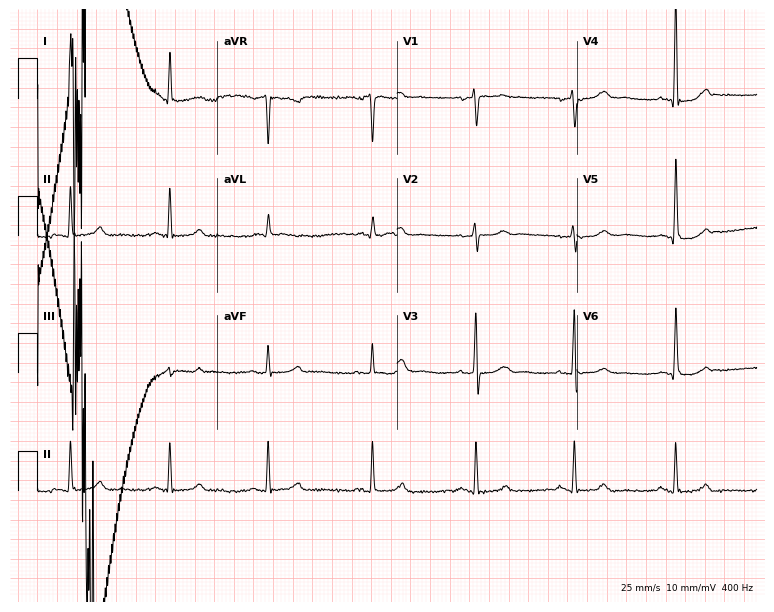
12-lead ECG from a 63-year-old male patient (7.3-second recording at 400 Hz). No first-degree AV block, right bundle branch block, left bundle branch block, sinus bradycardia, atrial fibrillation or sinus tachycardia recorded for this tracing. Only these six findings were labelled.